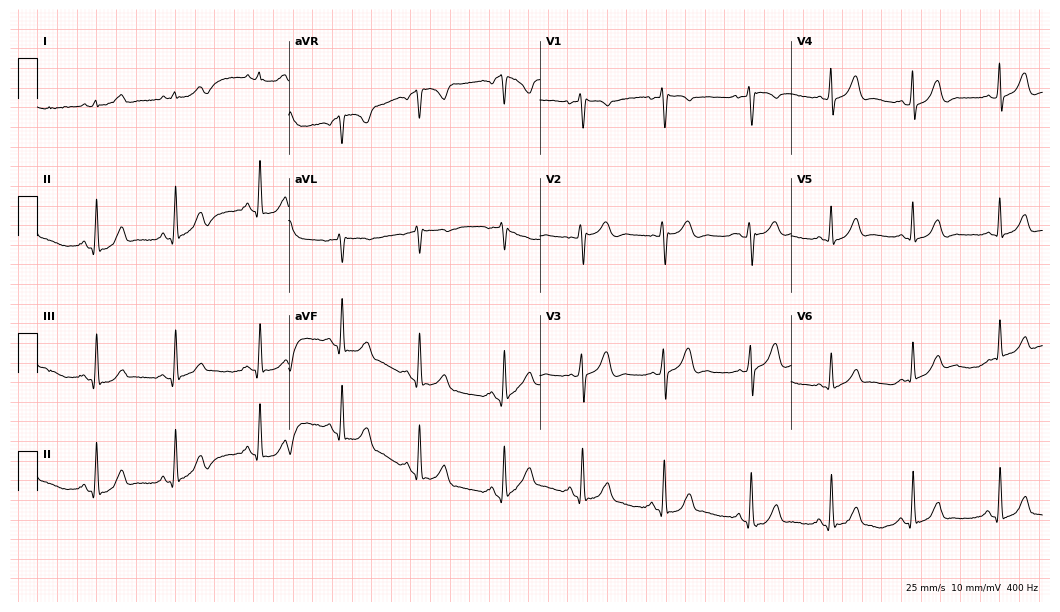
Standard 12-lead ECG recorded from a 22-year-old woman. Read as a normal ECG.